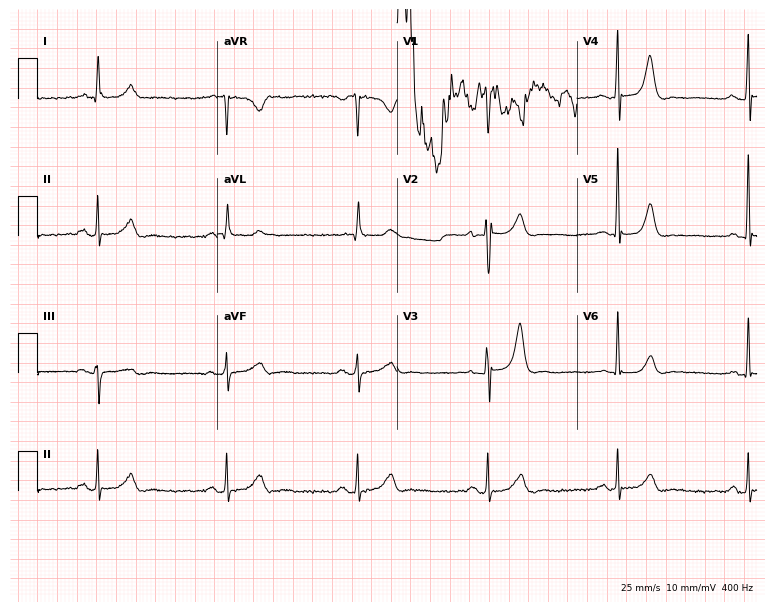
Standard 12-lead ECG recorded from a 76-year-old man (7.3-second recording at 400 Hz). The tracing shows sinus bradycardia (a sinus rate of 50 beats per minute or less).